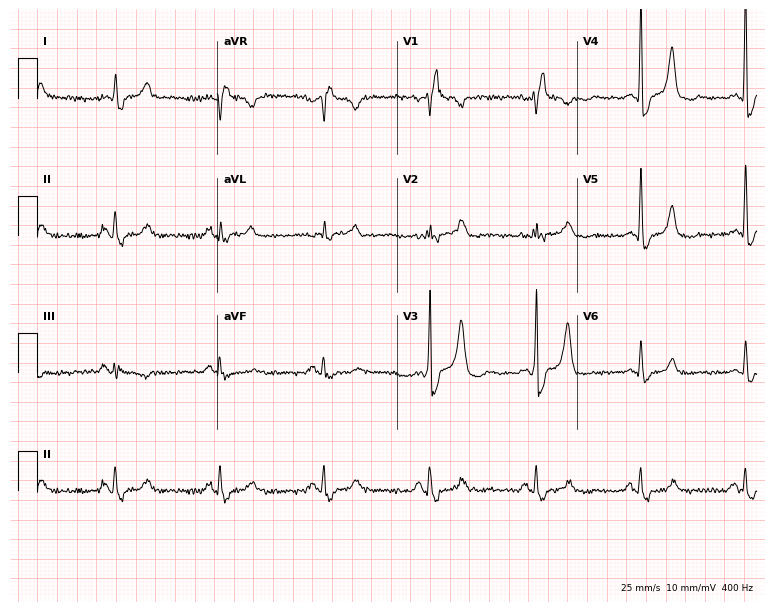
Resting 12-lead electrocardiogram (7.3-second recording at 400 Hz). Patient: a male, 80 years old. The tracing shows right bundle branch block (RBBB).